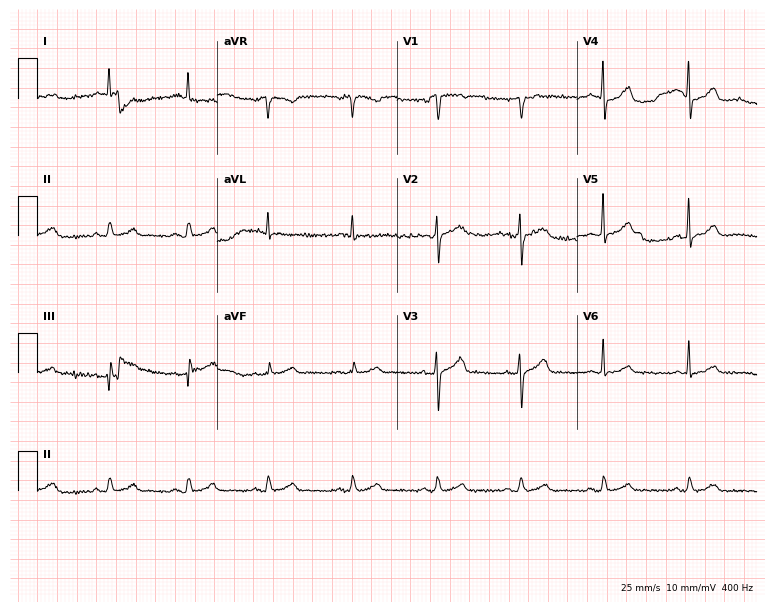
ECG — a male patient, 60 years old. Labelled as a normal ECG.